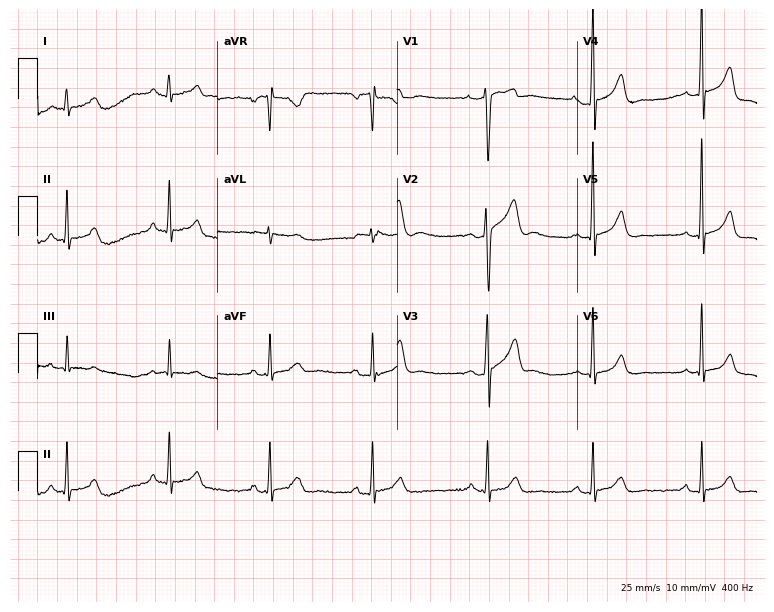
Standard 12-lead ECG recorded from a 26-year-old male patient. None of these six findings is recorded: first-degree AV block, right bundle branch block (RBBB), left bundle branch block (LBBB), sinus bradycardia, atrial fibrillation (AF), sinus tachycardia. Findings outside these six are not listed.